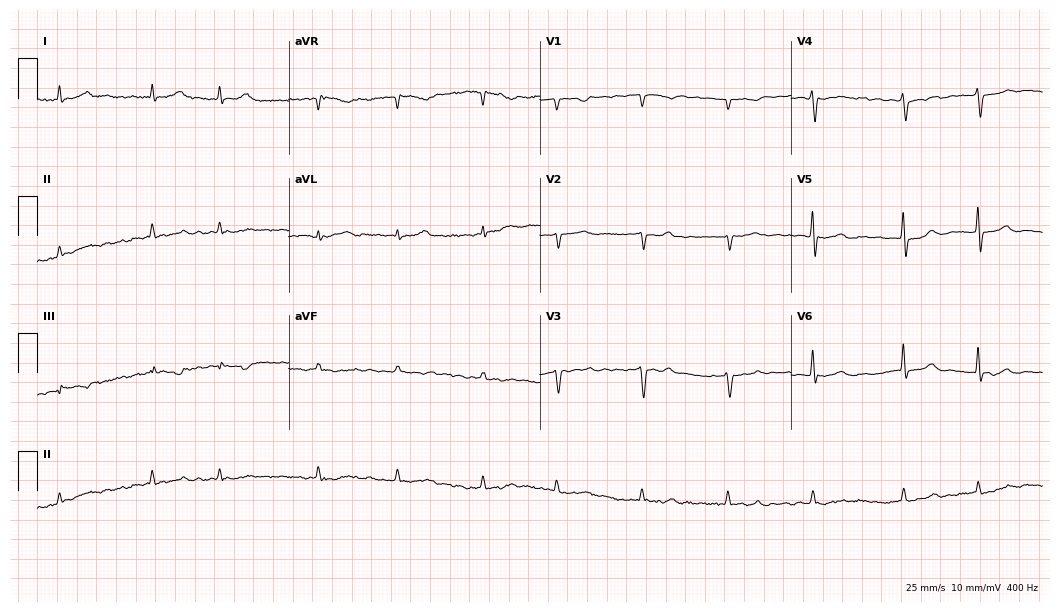
12-lead ECG from a 75-year-old female. Findings include atrial fibrillation.